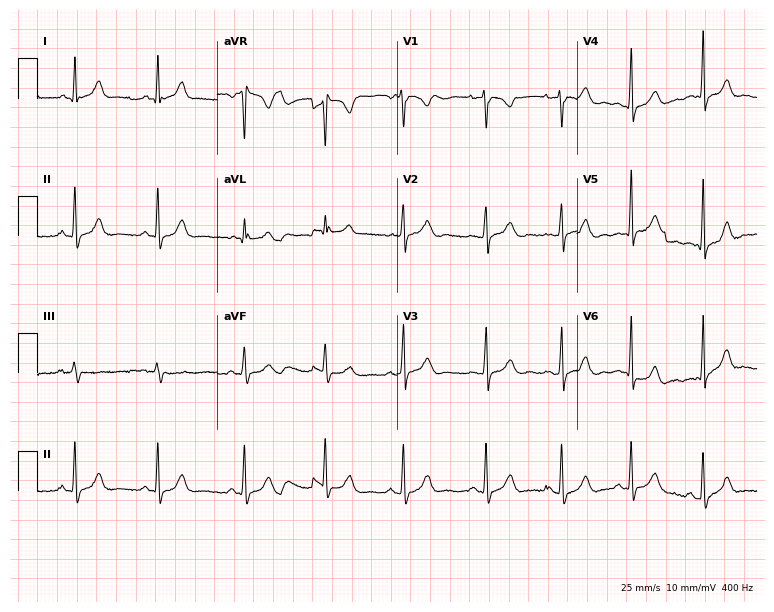
Standard 12-lead ECG recorded from a woman, 29 years old (7.3-second recording at 400 Hz). Read as a normal ECG.